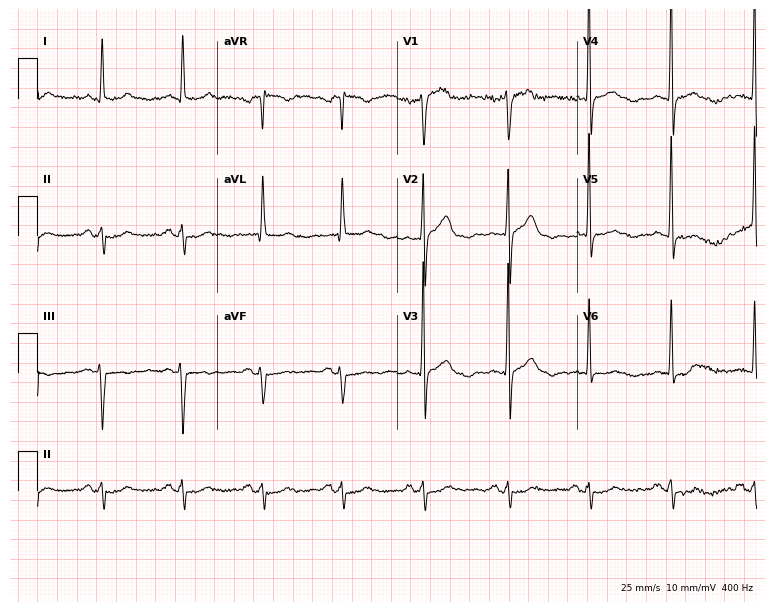
12-lead ECG from a male patient, 57 years old. No first-degree AV block, right bundle branch block (RBBB), left bundle branch block (LBBB), sinus bradycardia, atrial fibrillation (AF) or sinus tachycardia recorded for this tracing.